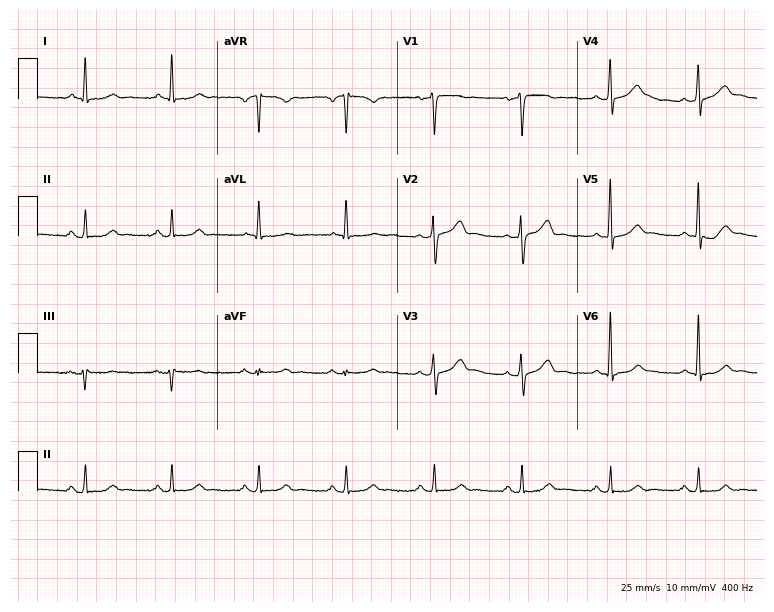
Electrocardiogram, a man, 59 years old. Of the six screened findings (first-degree AV block, right bundle branch block, left bundle branch block, sinus bradycardia, atrial fibrillation, sinus tachycardia), none is recorded.